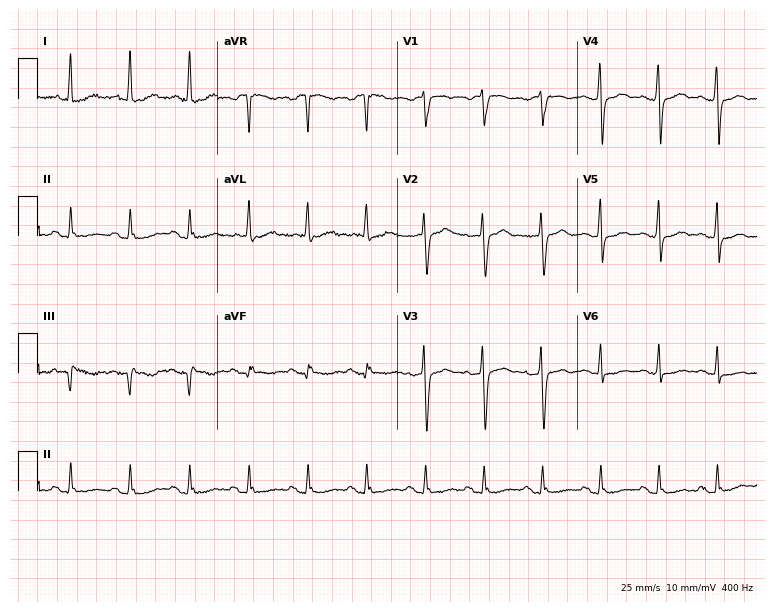
Resting 12-lead electrocardiogram. Patient: a female, 53 years old. None of these six findings is recorded: first-degree AV block, right bundle branch block, left bundle branch block, sinus bradycardia, atrial fibrillation, sinus tachycardia.